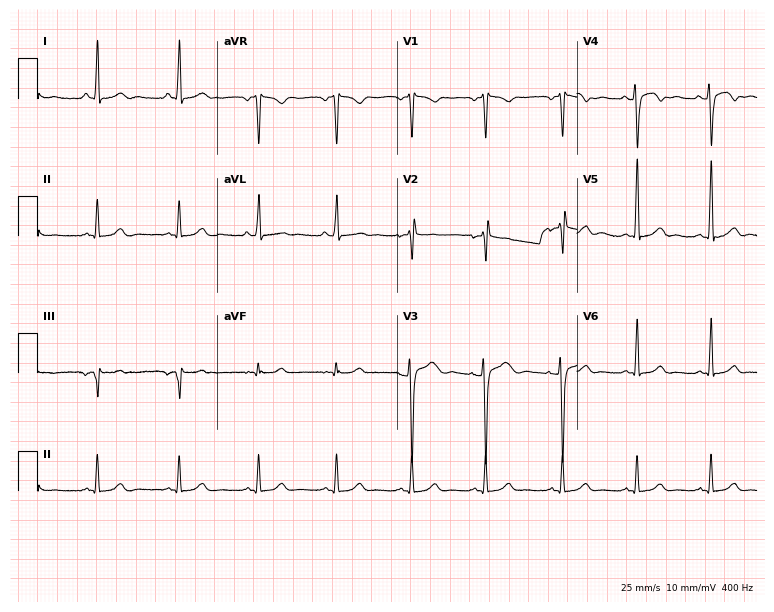
Standard 12-lead ECG recorded from a female patient, 20 years old (7.3-second recording at 400 Hz). Read as a normal ECG.